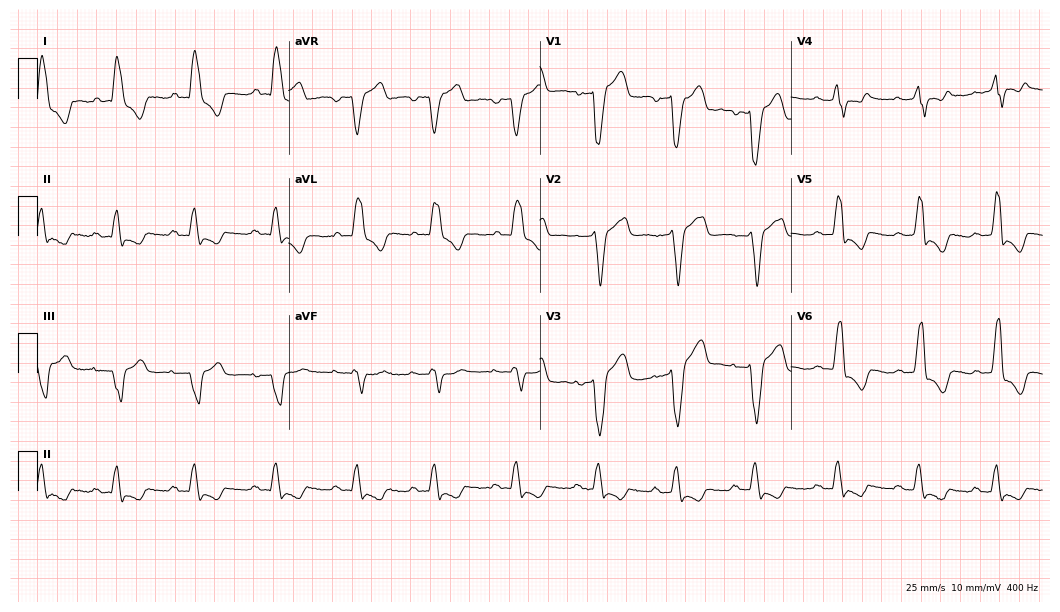
Electrocardiogram, a man, 69 years old. Interpretation includes left bundle branch block.